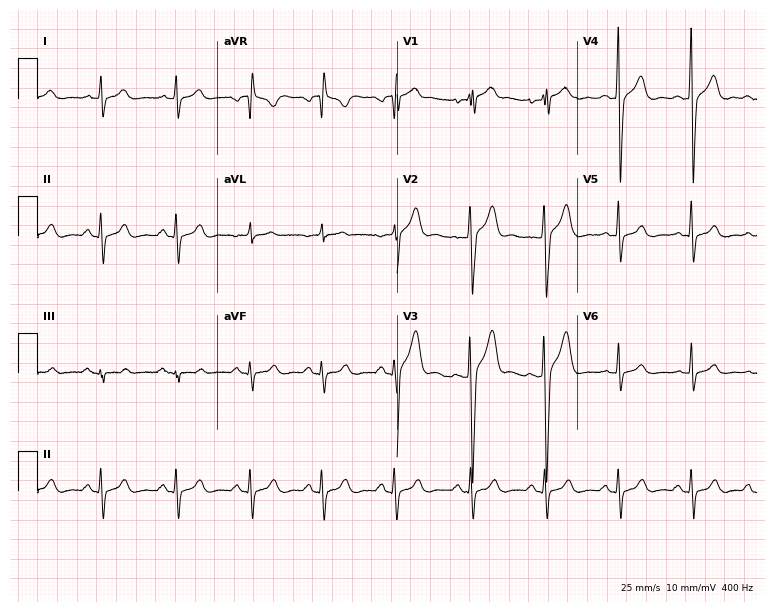
Standard 12-lead ECG recorded from a man, 24 years old. None of these six findings is recorded: first-degree AV block, right bundle branch block (RBBB), left bundle branch block (LBBB), sinus bradycardia, atrial fibrillation (AF), sinus tachycardia. Findings outside these six are not listed.